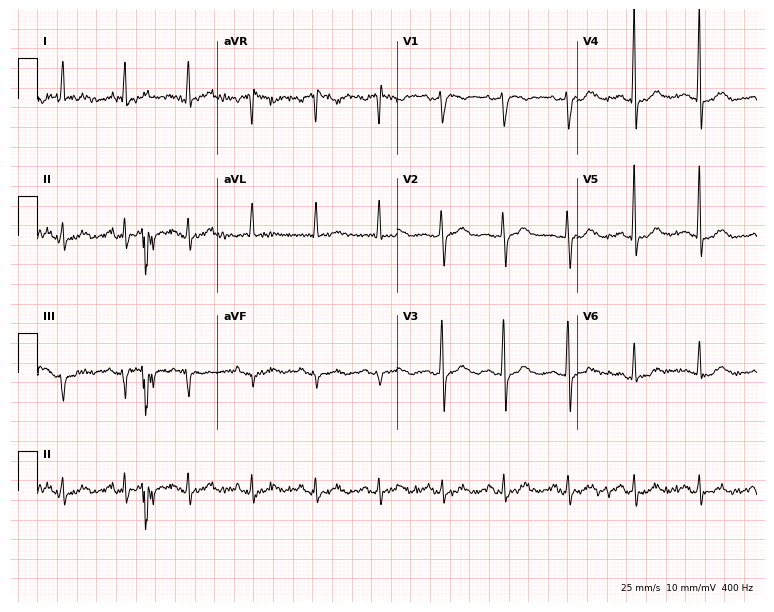
Standard 12-lead ECG recorded from a female, 63 years old (7.3-second recording at 400 Hz). None of these six findings is recorded: first-degree AV block, right bundle branch block, left bundle branch block, sinus bradycardia, atrial fibrillation, sinus tachycardia. Other findings, if any, are not listed.